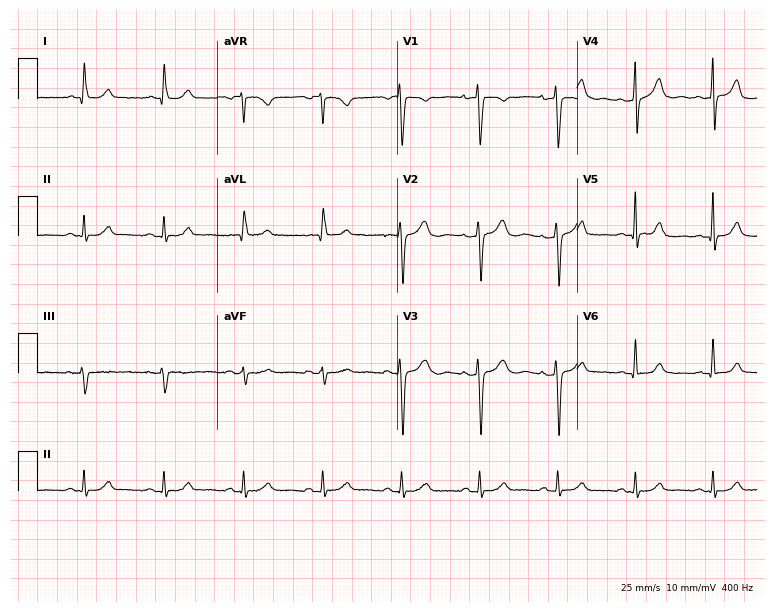
12-lead ECG from a 48-year-old woman. Labelled as a normal ECG.